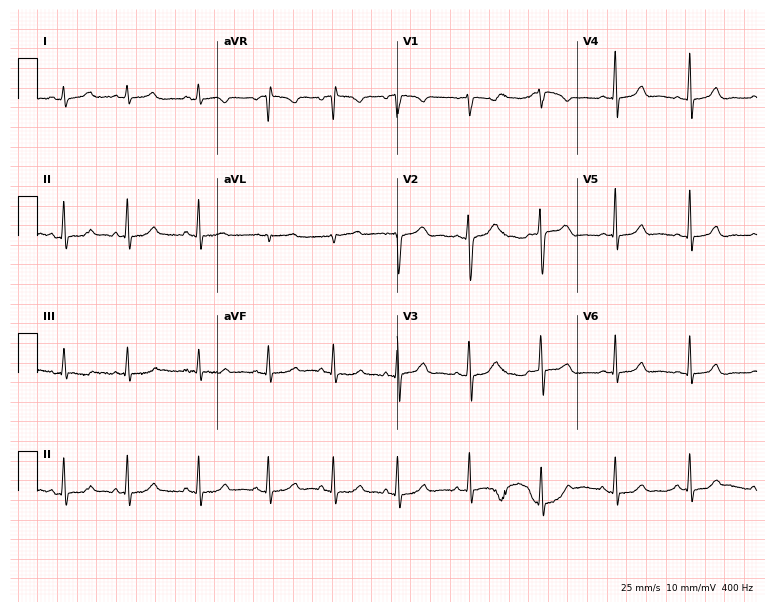
Resting 12-lead electrocardiogram. Patient: a 31-year-old female. Read as a normal ECG.